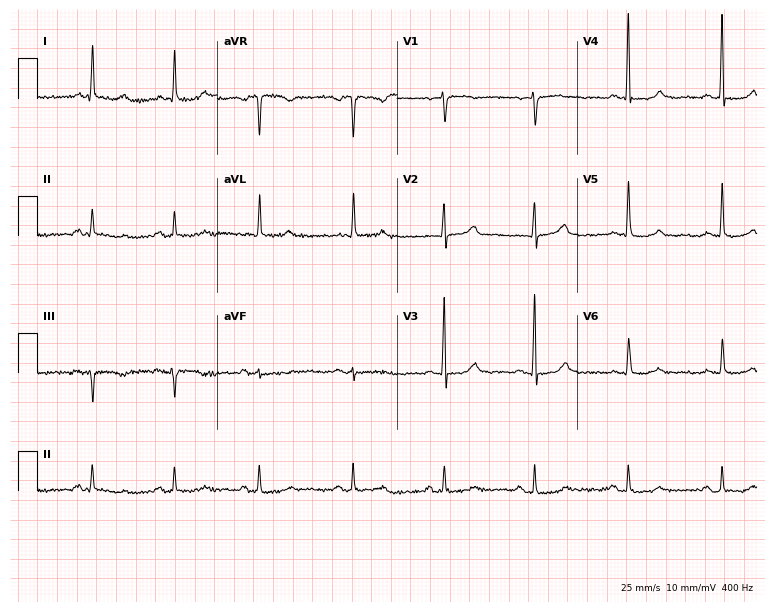
12-lead ECG from a woman, 68 years old (7.3-second recording at 400 Hz). No first-degree AV block, right bundle branch block, left bundle branch block, sinus bradycardia, atrial fibrillation or sinus tachycardia recorded for this tracing. Findings outside these six are not listed.